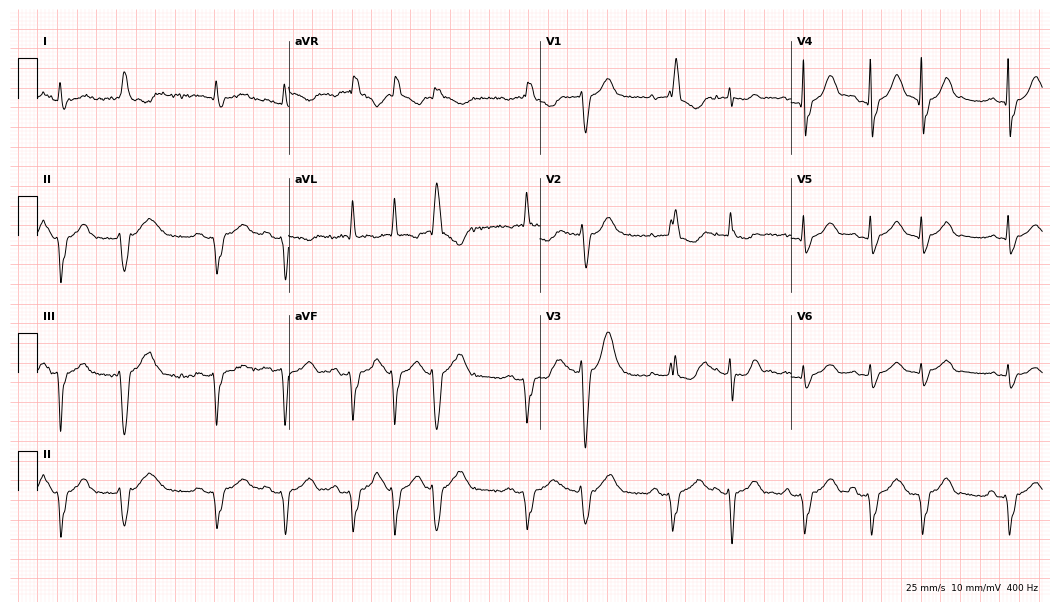
Resting 12-lead electrocardiogram (10.2-second recording at 400 Hz). Patient: a 68-year-old man. The tracing shows right bundle branch block.